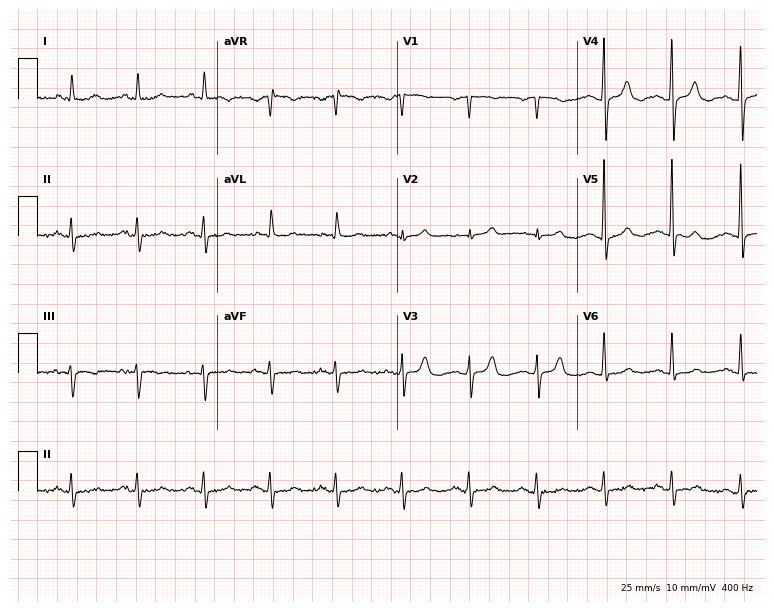
Resting 12-lead electrocardiogram. Patient: a woman, 71 years old. None of these six findings is recorded: first-degree AV block, right bundle branch block, left bundle branch block, sinus bradycardia, atrial fibrillation, sinus tachycardia. Findings outside these six are not listed.